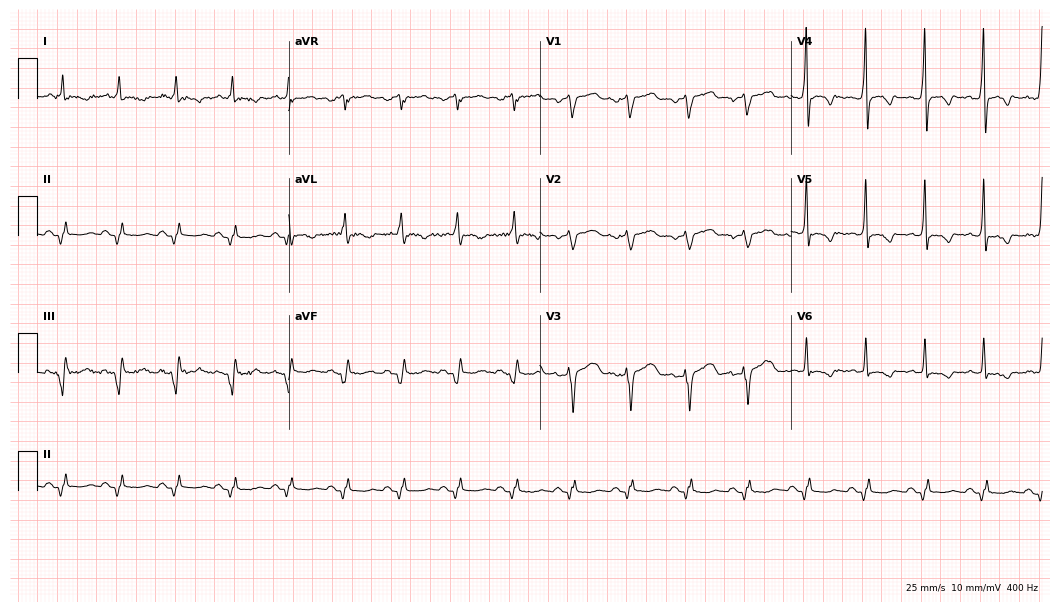
Electrocardiogram, a 65-year-old man. Interpretation includes sinus tachycardia (a sinus rate of 100 beats per minute or more).